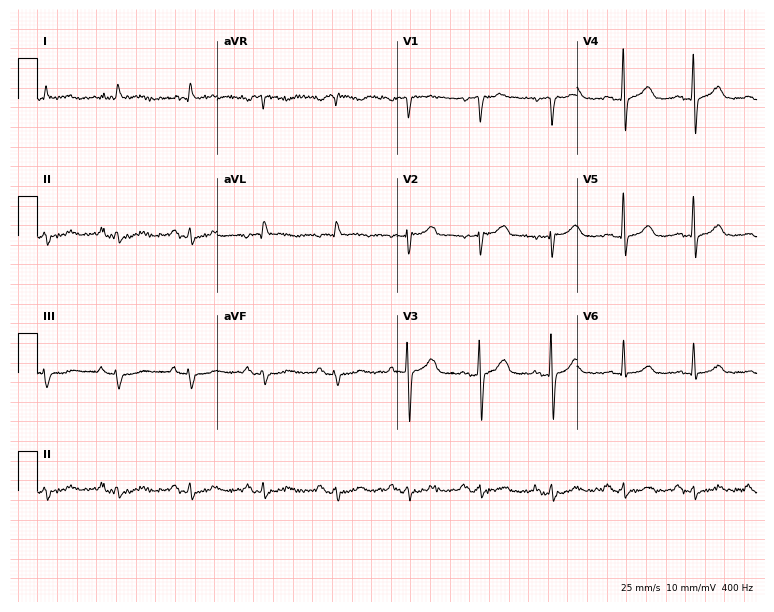
12-lead ECG from a man, 70 years old (7.3-second recording at 400 Hz). No first-degree AV block, right bundle branch block, left bundle branch block, sinus bradycardia, atrial fibrillation or sinus tachycardia recorded for this tracing. Other findings, if any, are not listed.